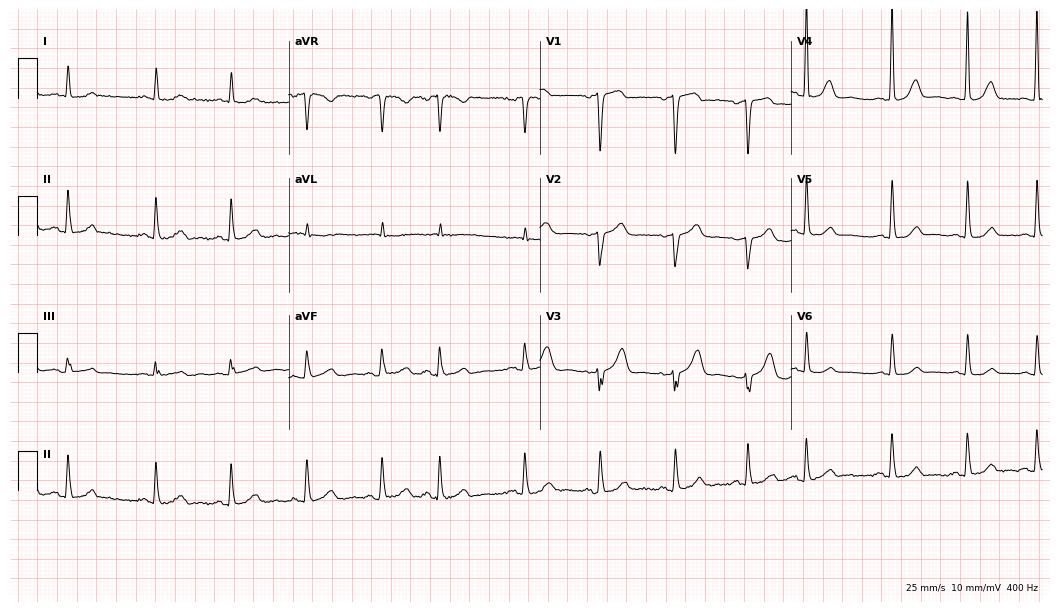
12-lead ECG from a 77-year-old woman. Screened for six findings — first-degree AV block, right bundle branch block (RBBB), left bundle branch block (LBBB), sinus bradycardia, atrial fibrillation (AF), sinus tachycardia — none is recorded.